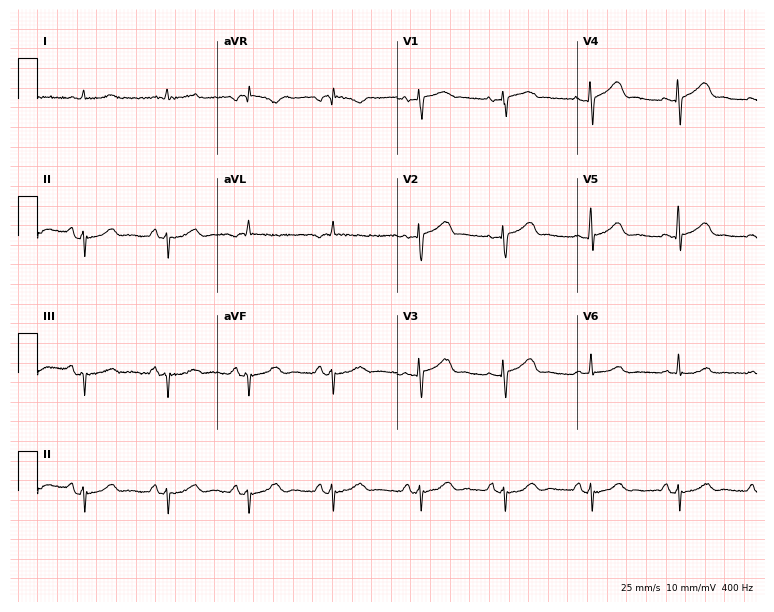
Standard 12-lead ECG recorded from a woman, 70 years old (7.3-second recording at 400 Hz). None of these six findings is recorded: first-degree AV block, right bundle branch block, left bundle branch block, sinus bradycardia, atrial fibrillation, sinus tachycardia.